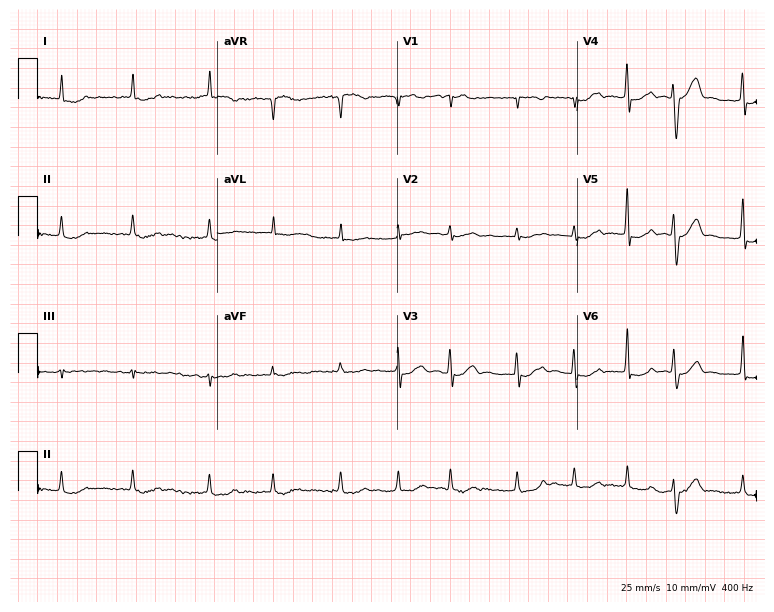
Electrocardiogram (7.3-second recording at 400 Hz), an 80-year-old woman. Interpretation includes atrial fibrillation.